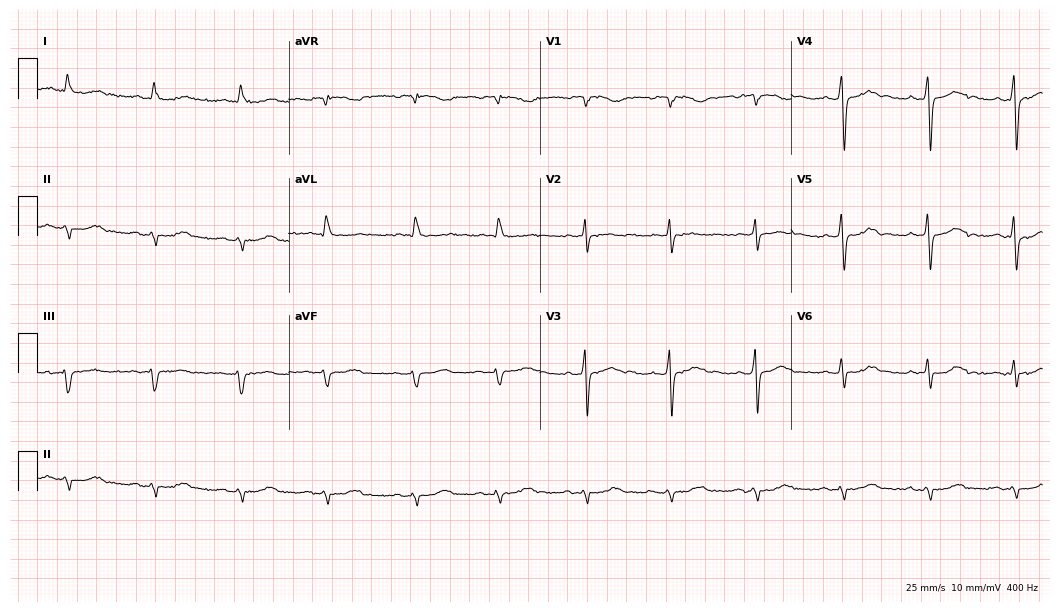
Resting 12-lead electrocardiogram (10.2-second recording at 400 Hz). Patient: a man, 84 years old. None of these six findings is recorded: first-degree AV block, right bundle branch block, left bundle branch block, sinus bradycardia, atrial fibrillation, sinus tachycardia.